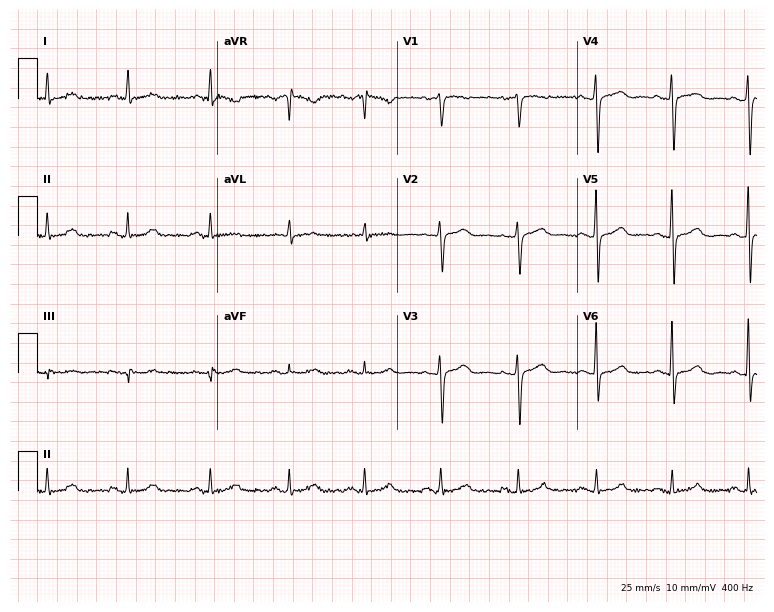
ECG (7.3-second recording at 400 Hz) — a 44-year-old female. Labelled as a normal ECG.